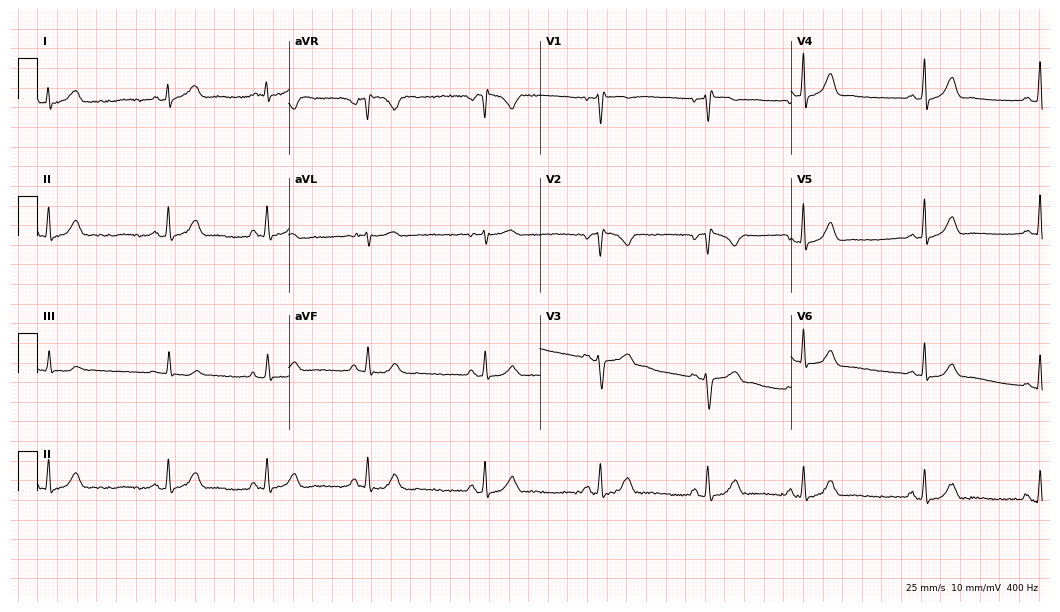
12-lead ECG (10.2-second recording at 400 Hz) from a female, 21 years old. Labelled as a normal ECG.